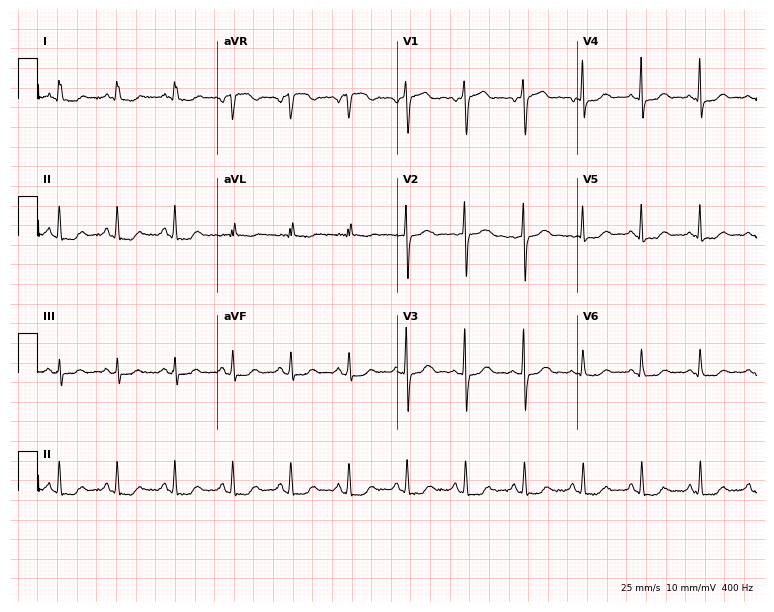
12-lead ECG from a female patient, 55 years old. Findings include sinus tachycardia (a sinus rate of 100 beats per minute or more).